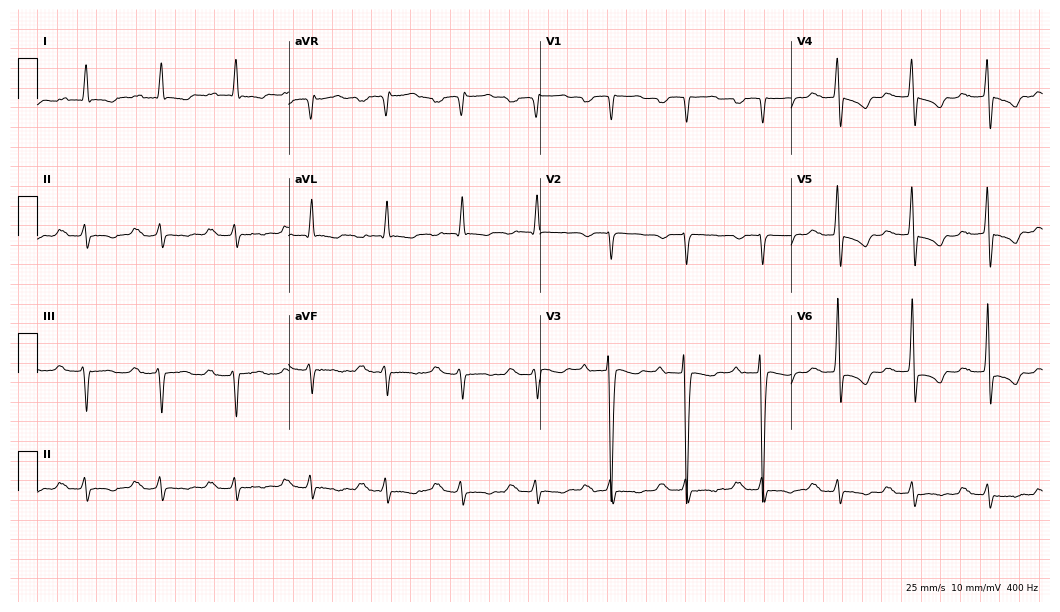
12-lead ECG from a 66-year-old male patient. Shows first-degree AV block.